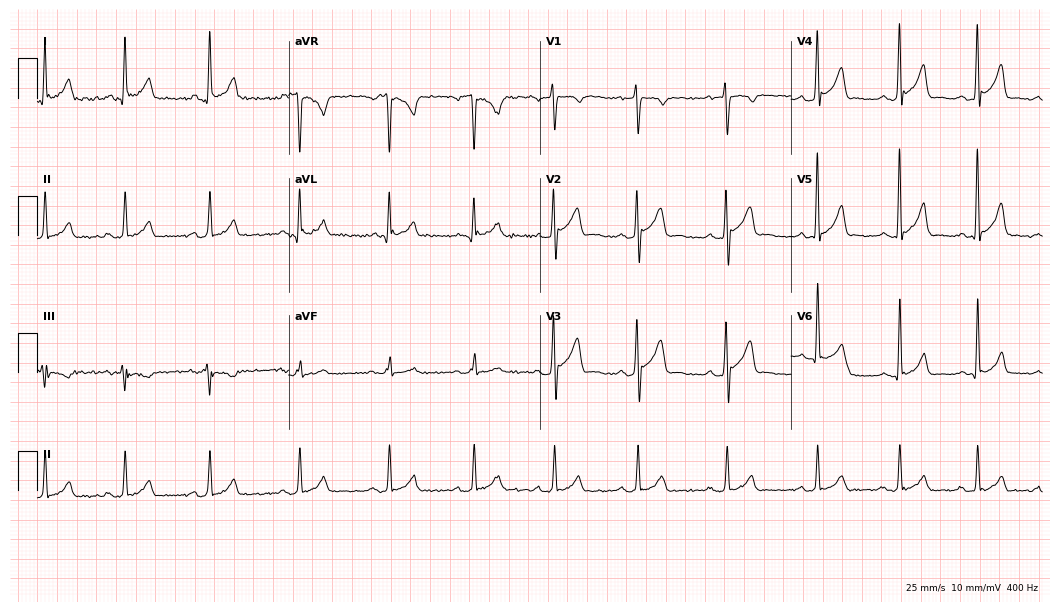
Electrocardiogram, a woman, 22 years old. Overall reading on record: normal ECG.